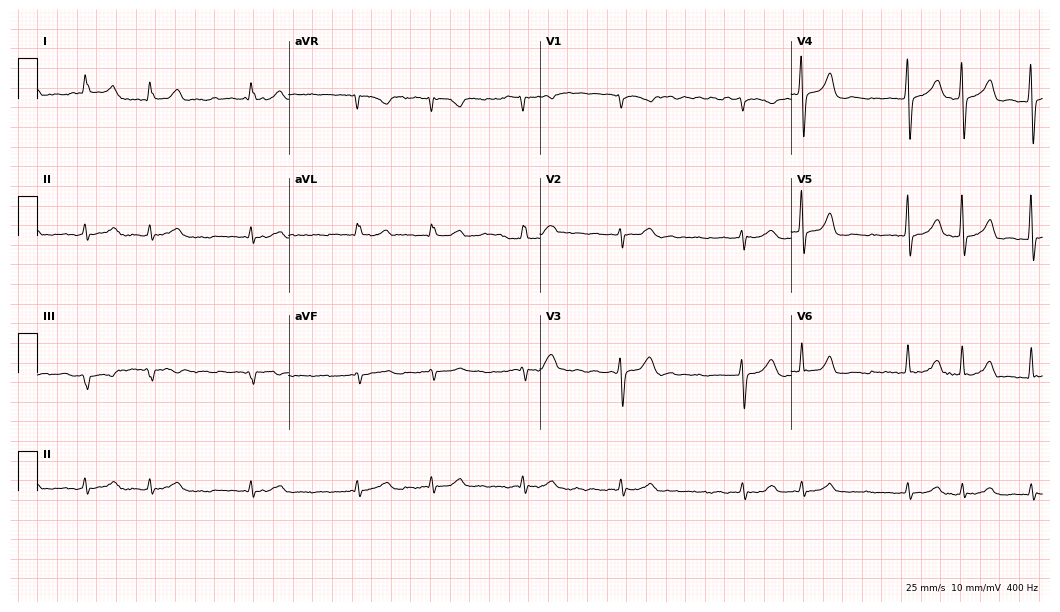
Standard 12-lead ECG recorded from a male patient, 74 years old (10.2-second recording at 400 Hz). The tracing shows atrial fibrillation (AF).